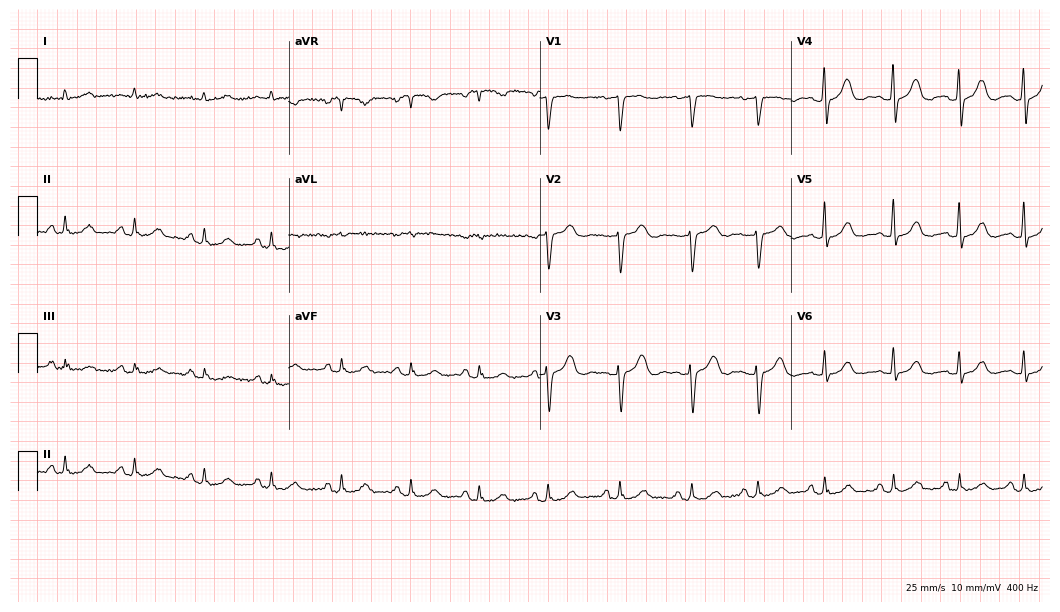
12-lead ECG from a 42-year-old woman (10.2-second recording at 400 Hz). No first-degree AV block, right bundle branch block (RBBB), left bundle branch block (LBBB), sinus bradycardia, atrial fibrillation (AF) or sinus tachycardia recorded for this tracing.